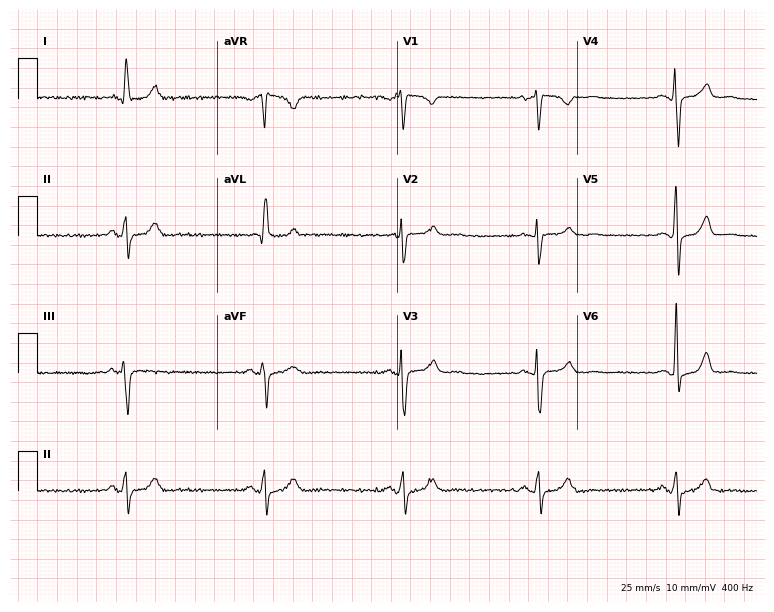
12-lead ECG from a female, 61 years old (7.3-second recording at 400 Hz). No first-degree AV block, right bundle branch block, left bundle branch block, sinus bradycardia, atrial fibrillation or sinus tachycardia recorded for this tracing. Findings outside these six are not listed.